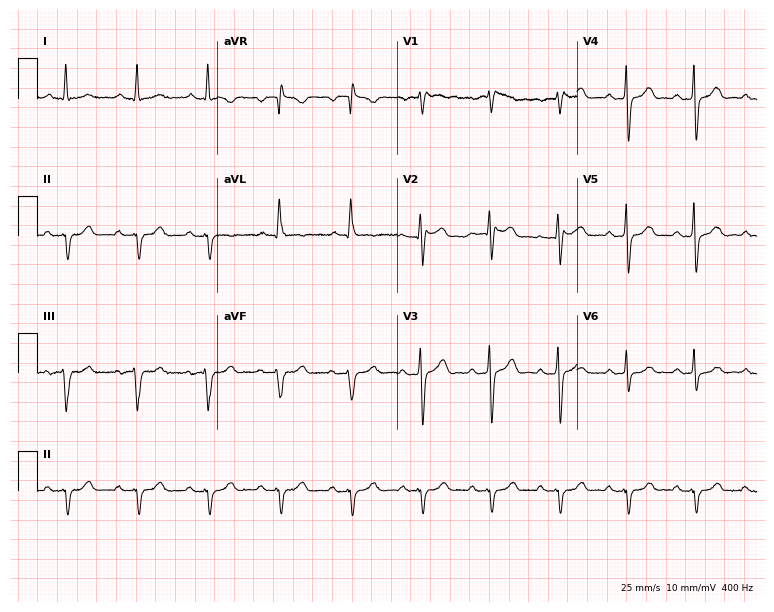
12-lead ECG from a 50-year-old male. No first-degree AV block, right bundle branch block, left bundle branch block, sinus bradycardia, atrial fibrillation or sinus tachycardia recorded for this tracing. Only these six findings were labelled.